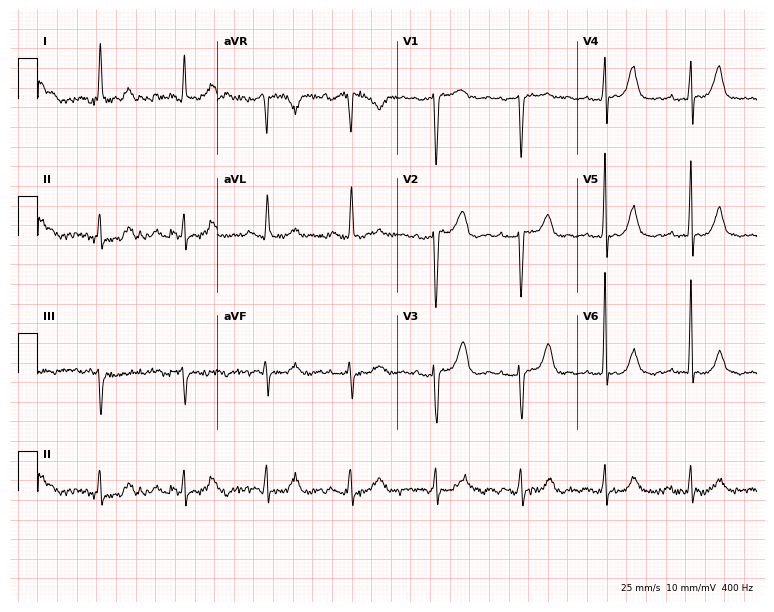
Electrocardiogram (7.3-second recording at 400 Hz), a 63-year-old female. Of the six screened findings (first-degree AV block, right bundle branch block (RBBB), left bundle branch block (LBBB), sinus bradycardia, atrial fibrillation (AF), sinus tachycardia), none is recorded. Other findings, if any, are not listed.